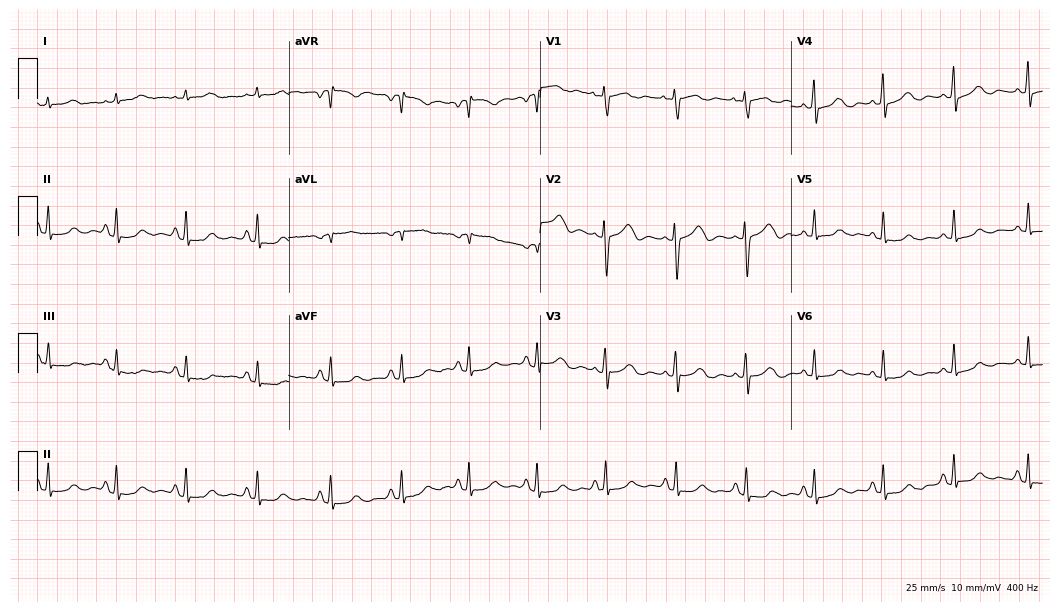
Resting 12-lead electrocardiogram (10.2-second recording at 400 Hz). Patient: a female, 57 years old. Read as a normal ECG.